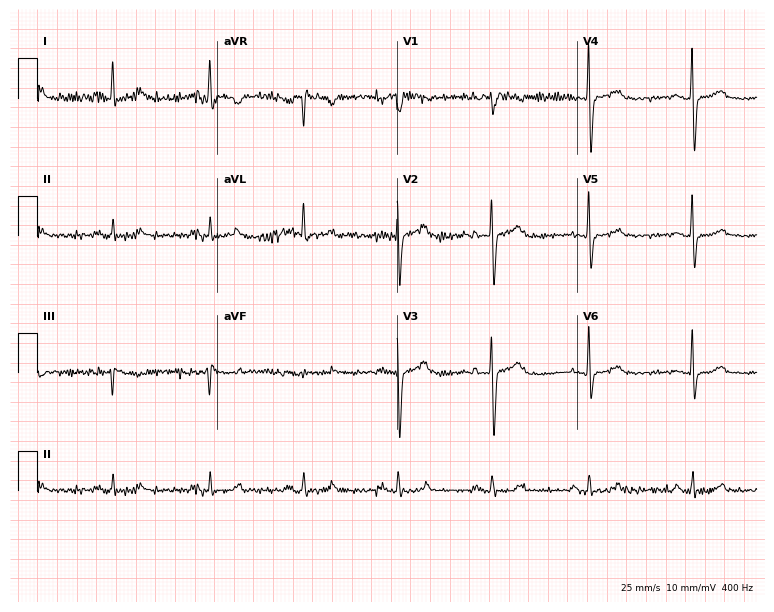
Resting 12-lead electrocardiogram (7.3-second recording at 400 Hz). Patient: a female, 45 years old. None of these six findings is recorded: first-degree AV block, right bundle branch block, left bundle branch block, sinus bradycardia, atrial fibrillation, sinus tachycardia.